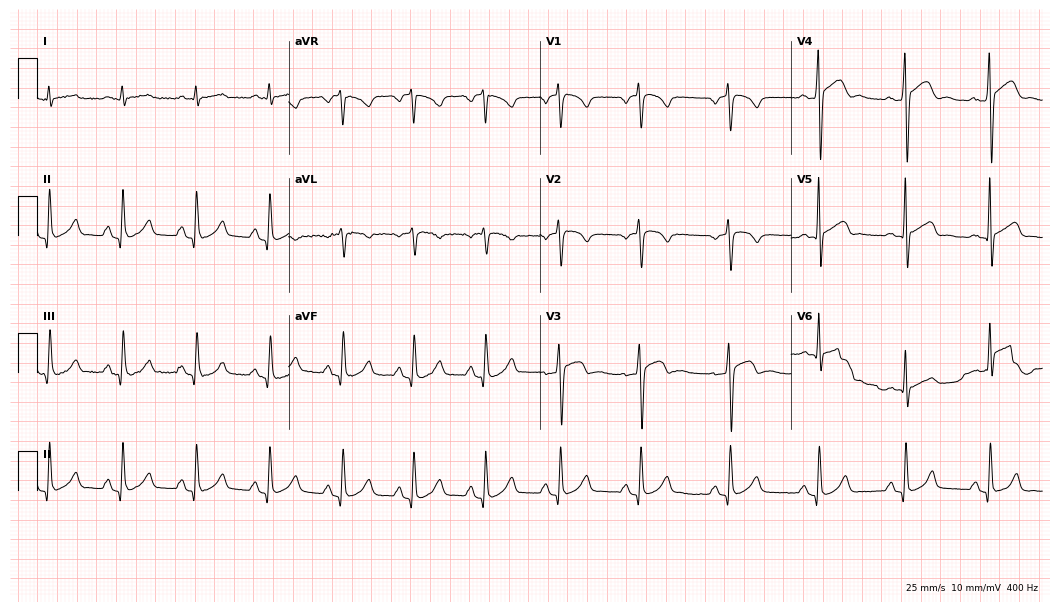
Standard 12-lead ECG recorded from a 55-year-old male (10.2-second recording at 400 Hz). None of these six findings is recorded: first-degree AV block, right bundle branch block (RBBB), left bundle branch block (LBBB), sinus bradycardia, atrial fibrillation (AF), sinus tachycardia.